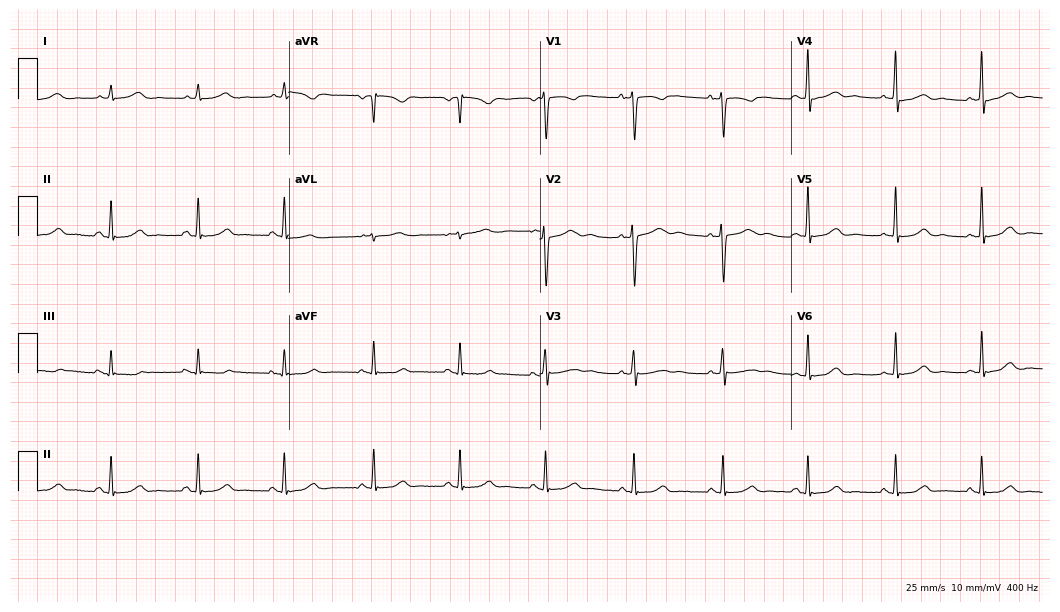
12-lead ECG from a woman, 33 years old (10.2-second recording at 400 Hz). Recorded interpretation: within normal limits.